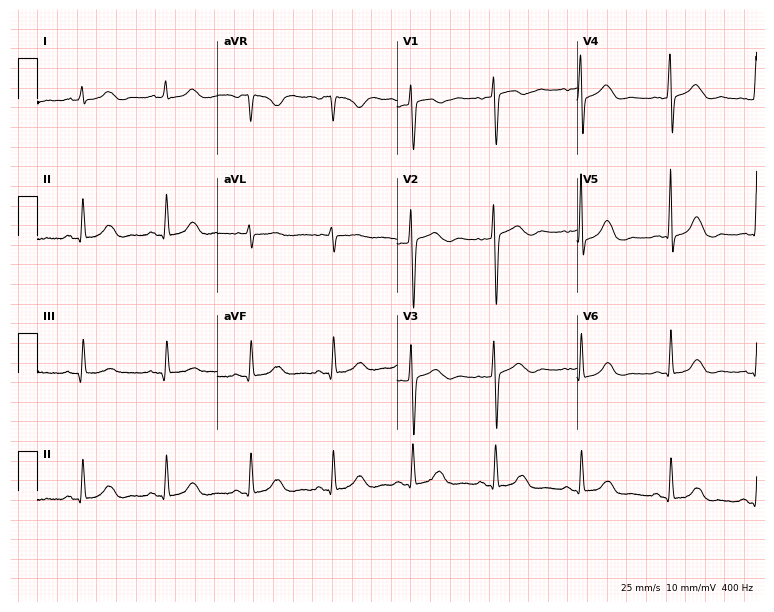
Electrocardiogram (7.3-second recording at 400 Hz), a woman, 39 years old. Of the six screened findings (first-degree AV block, right bundle branch block, left bundle branch block, sinus bradycardia, atrial fibrillation, sinus tachycardia), none is recorded. Other findings, if any, are not listed.